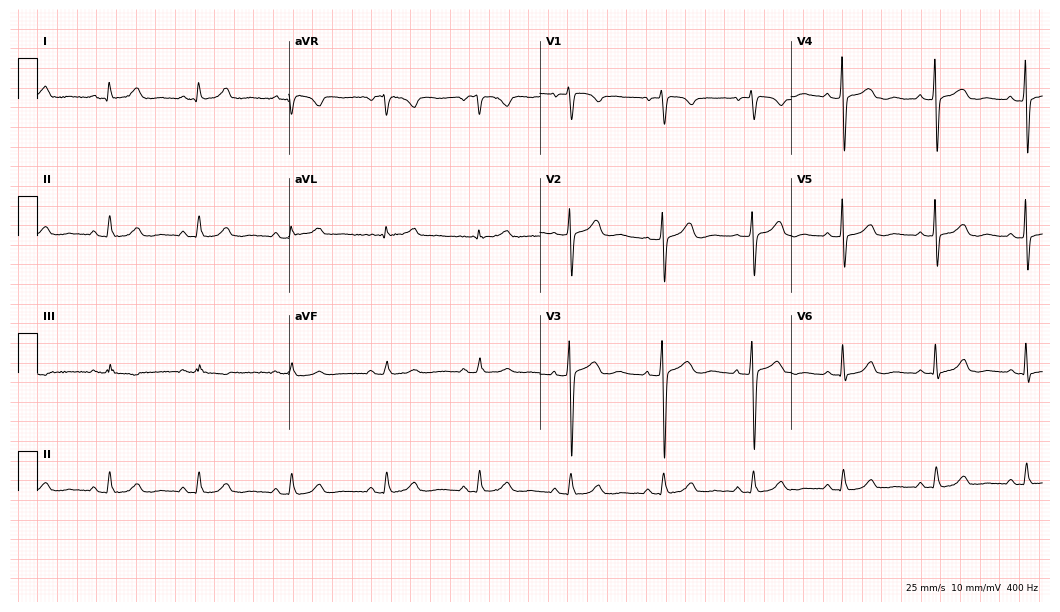
Electrocardiogram (10.2-second recording at 400 Hz), a woman, 67 years old. Overall reading on record: normal ECG.